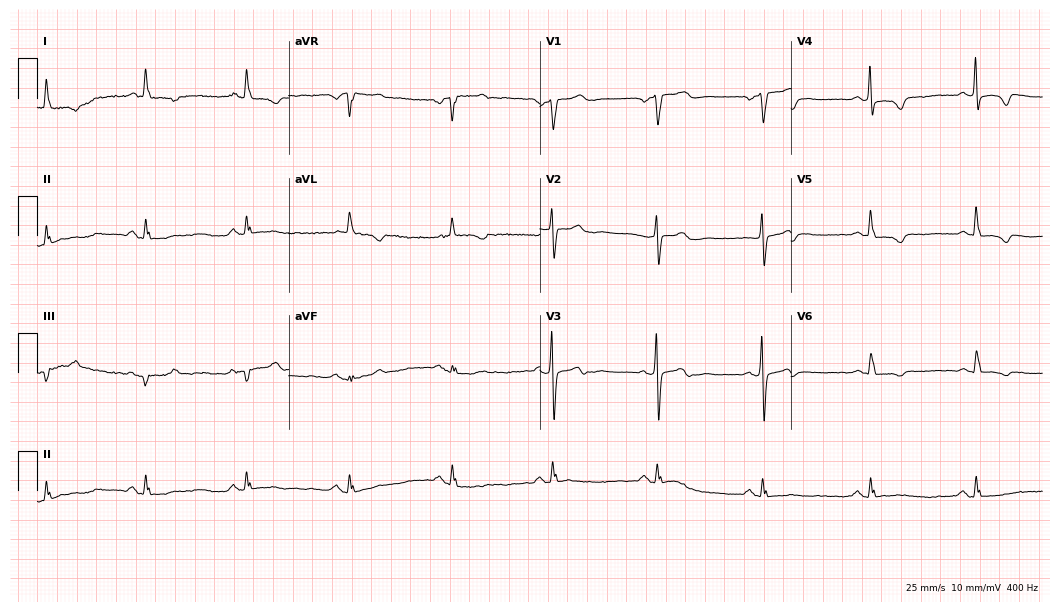
12-lead ECG from a man, 68 years old. No first-degree AV block, right bundle branch block (RBBB), left bundle branch block (LBBB), sinus bradycardia, atrial fibrillation (AF) or sinus tachycardia recorded for this tracing. Findings outside these six are not listed.